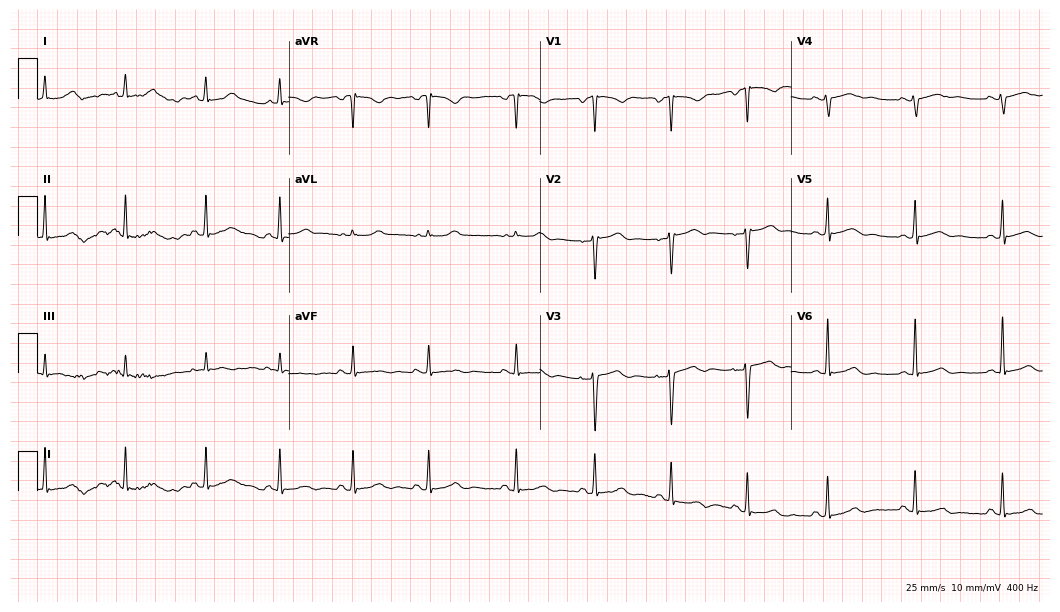
12-lead ECG from a female, 45 years old. No first-degree AV block, right bundle branch block (RBBB), left bundle branch block (LBBB), sinus bradycardia, atrial fibrillation (AF) or sinus tachycardia recorded for this tracing.